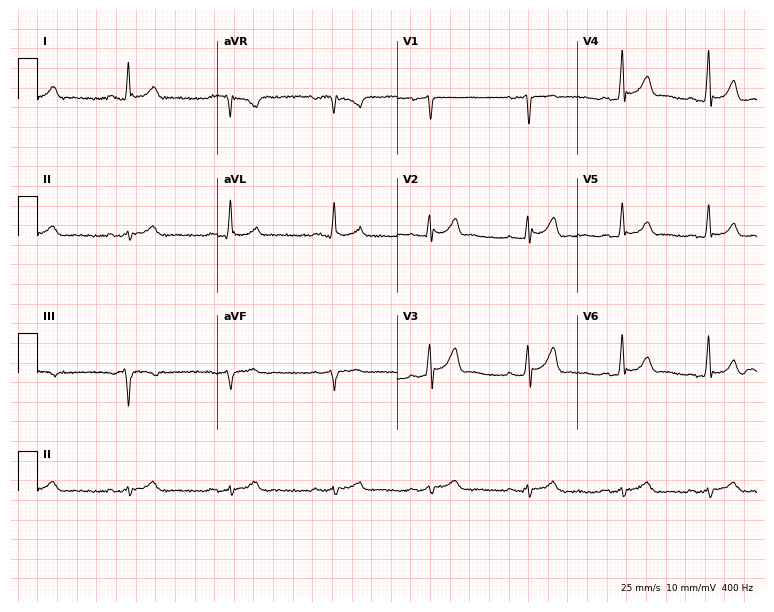
Standard 12-lead ECG recorded from a male, 44 years old. None of these six findings is recorded: first-degree AV block, right bundle branch block, left bundle branch block, sinus bradycardia, atrial fibrillation, sinus tachycardia.